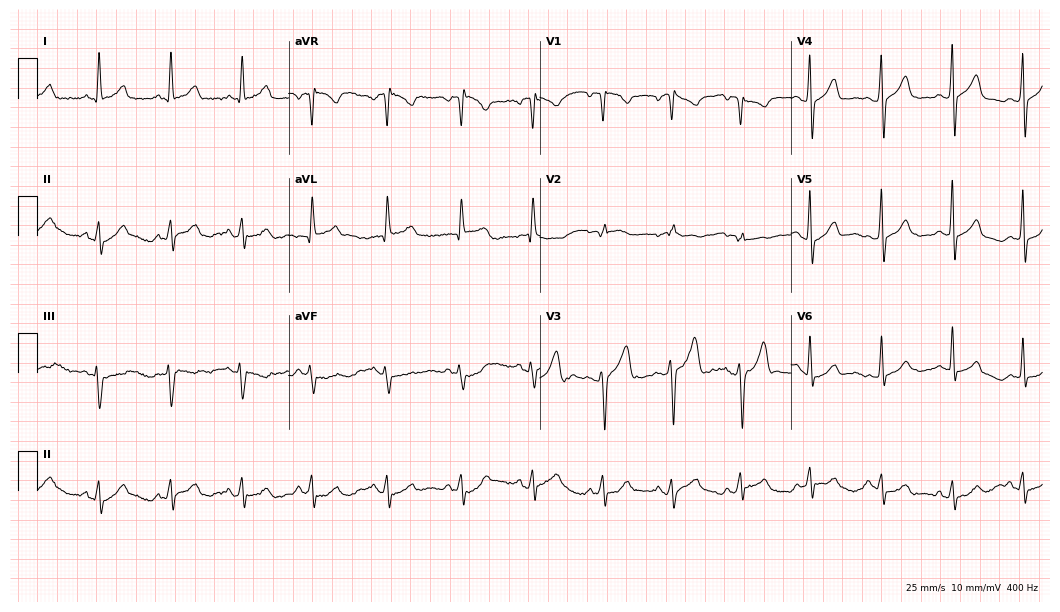
ECG (10.2-second recording at 400 Hz) — a 44-year-old man. Labelled as a normal ECG.